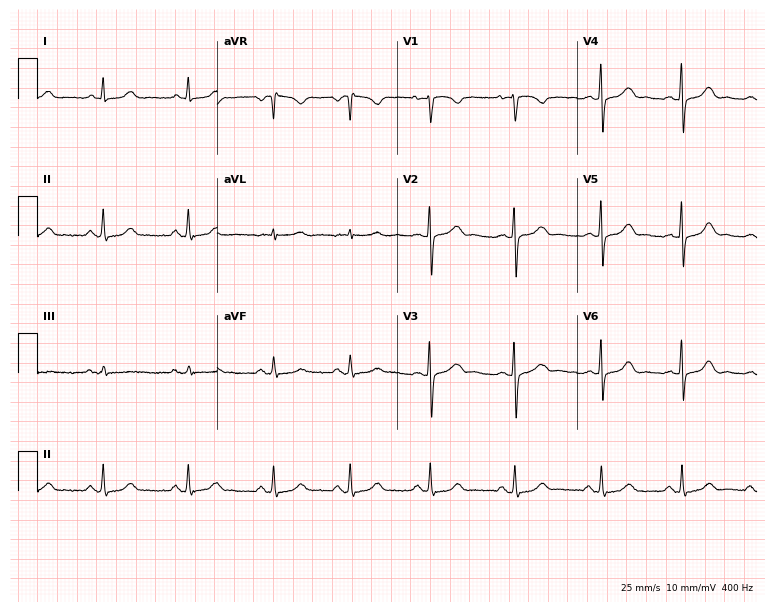
Electrocardiogram (7.3-second recording at 400 Hz), a 27-year-old woman. Overall reading on record: normal ECG.